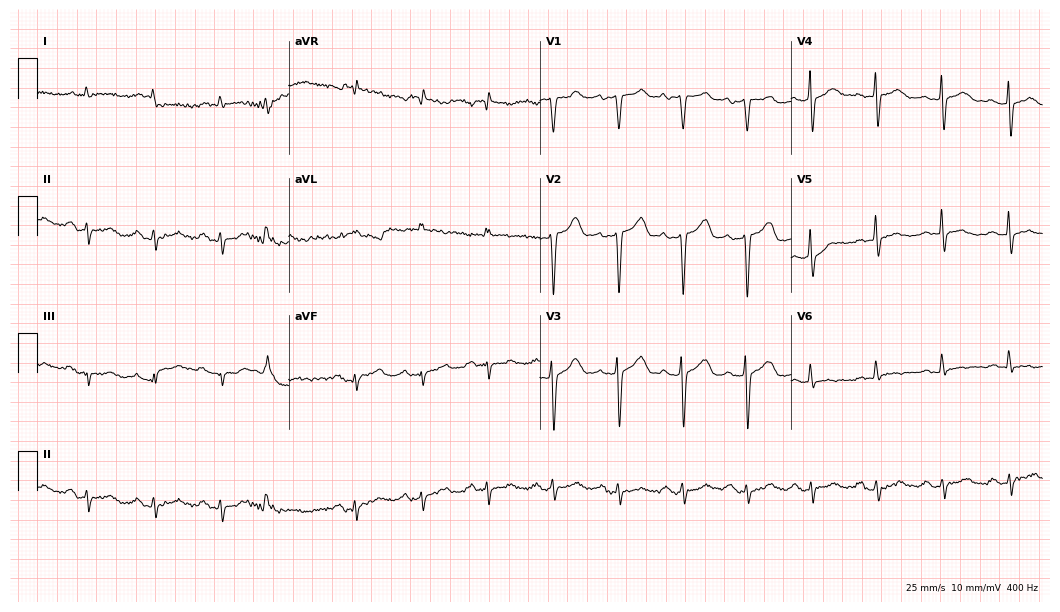
12-lead ECG (10.2-second recording at 400 Hz) from a 73-year-old male. Screened for six findings — first-degree AV block, right bundle branch block, left bundle branch block, sinus bradycardia, atrial fibrillation, sinus tachycardia — none is recorded.